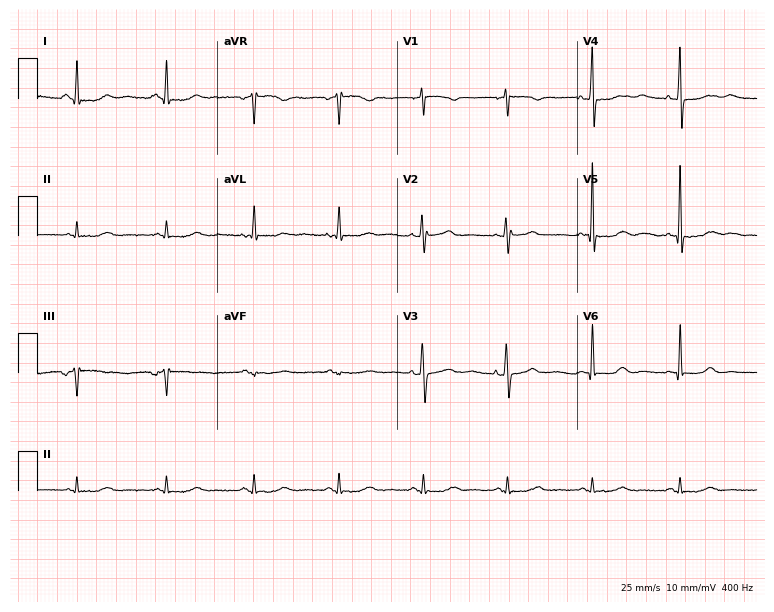
ECG — a 72-year-old female patient. Screened for six findings — first-degree AV block, right bundle branch block, left bundle branch block, sinus bradycardia, atrial fibrillation, sinus tachycardia — none is recorded.